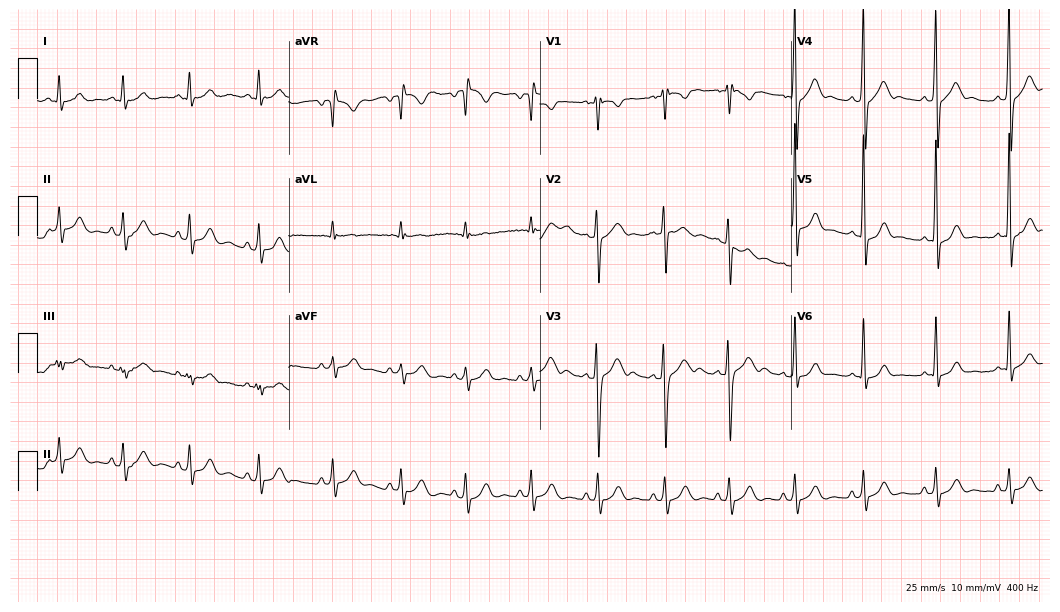
Electrocardiogram (10.2-second recording at 400 Hz), a male, 18 years old. Overall reading on record: normal ECG.